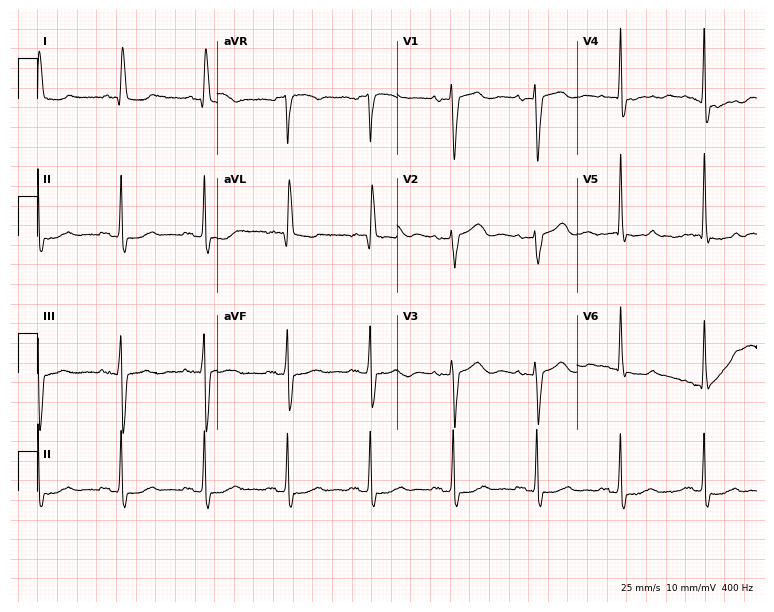
ECG — a female, 85 years old. Screened for six findings — first-degree AV block, right bundle branch block (RBBB), left bundle branch block (LBBB), sinus bradycardia, atrial fibrillation (AF), sinus tachycardia — none is recorded. Only these six findings were labelled.